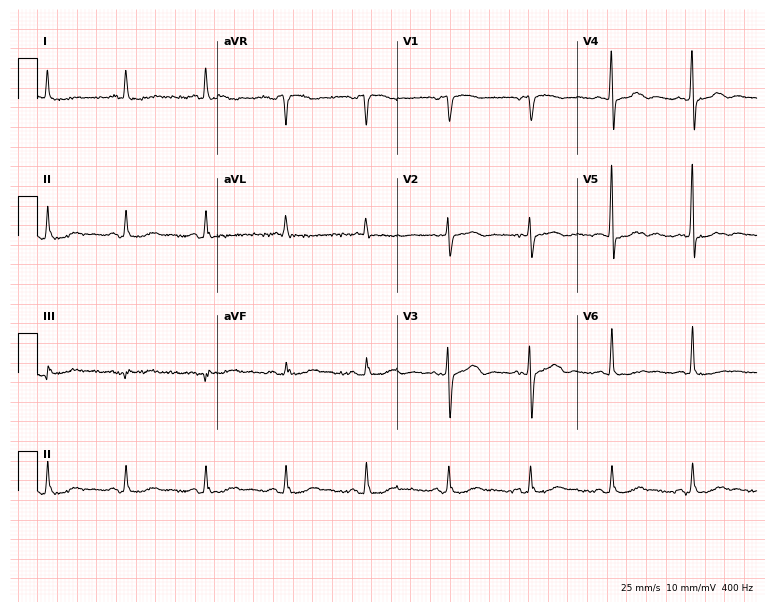
Electrocardiogram, a 75-year-old female patient. Of the six screened findings (first-degree AV block, right bundle branch block (RBBB), left bundle branch block (LBBB), sinus bradycardia, atrial fibrillation (AF), sinus tachycardia), none is recorded.